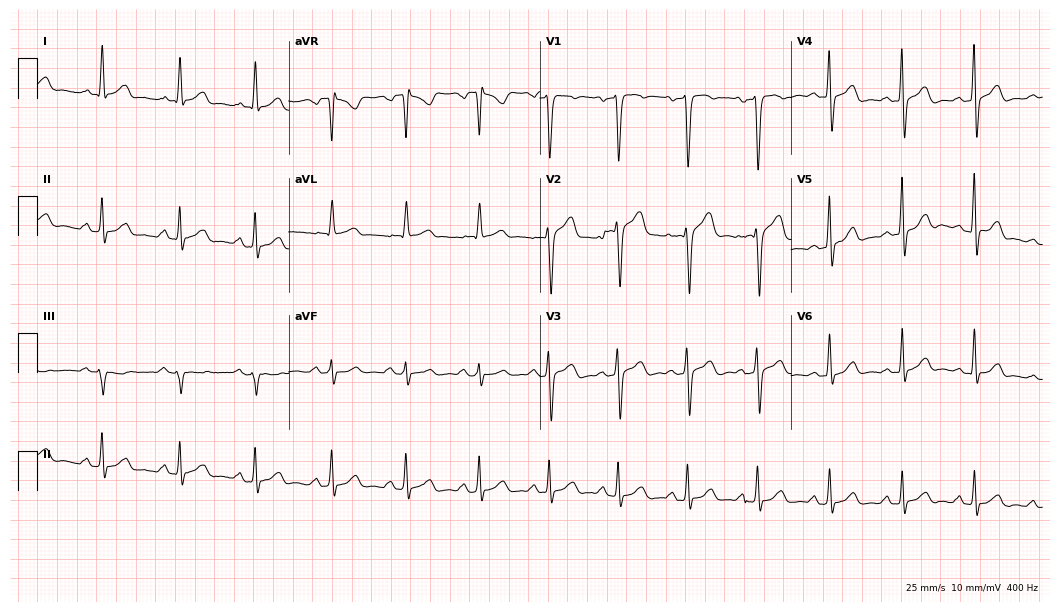
Resting 12-lead electrocardiogram (10.2-second recording at 400 Hz). Patient: a man, 58 years old. Read as a normal ECG.